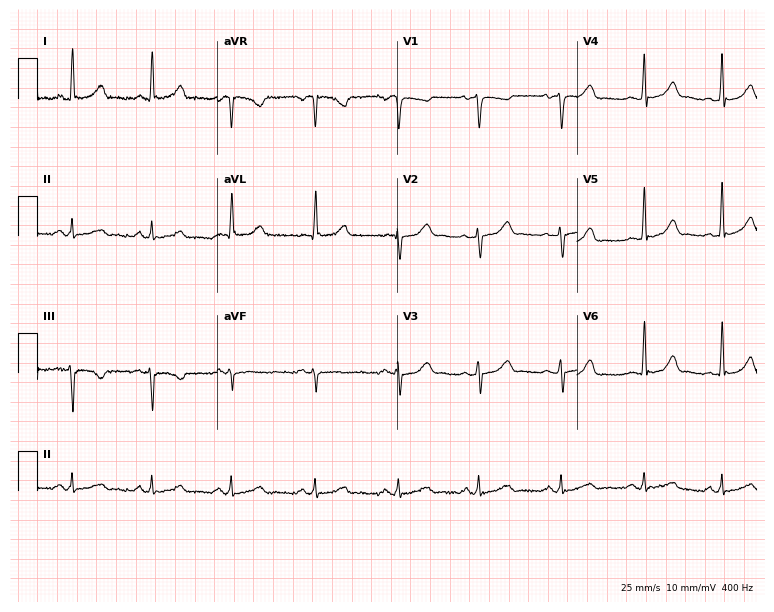
ECG — a female, 38 years old. Screened for six findings — first-degree AV block, right bundle branch block, left bundle branch block, sinus bradycardia, atrial fibrillation, sinus tachycardia — none is recorded.